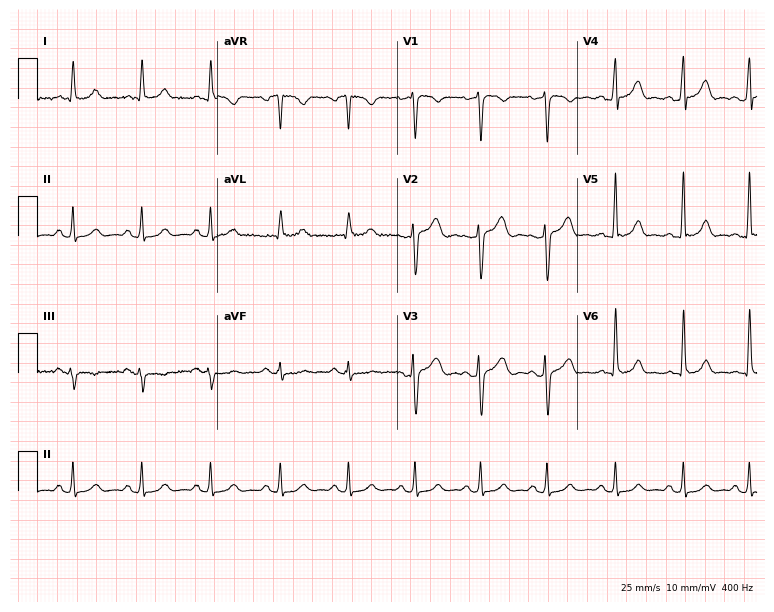
ECG — a male patient, 30 years old. Labelled as a normal ECG.